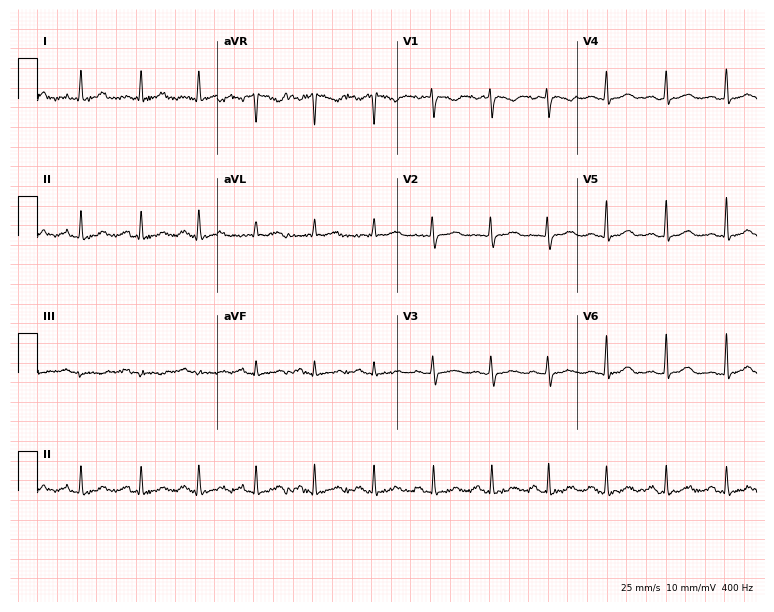
Resting 12-lead electrocardiogram (7.3-second recording at 400 Hz). Patient: a 21-year-old female. The tracing shows sinus tachycardia (a sinus rate of 100 beats per minute or more).